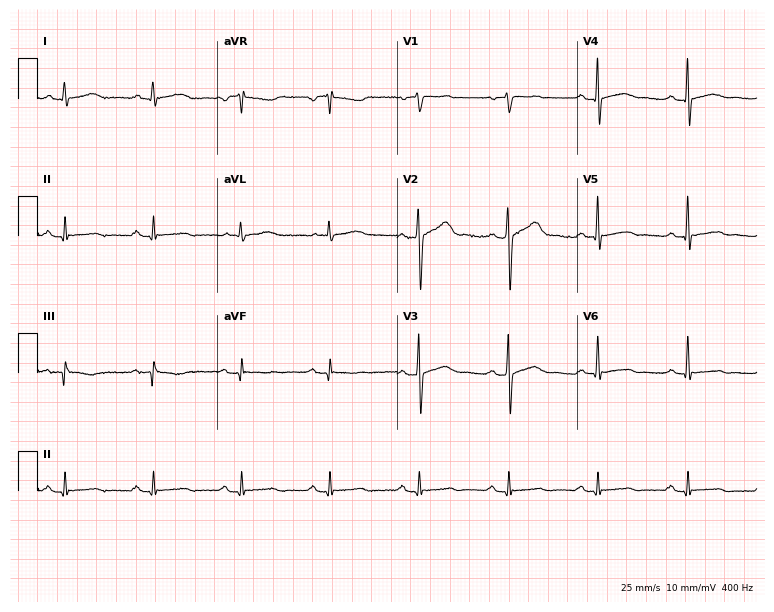
Standard 12-lead ECG recorded from a 49-year-old male. Read as a normal ECG.